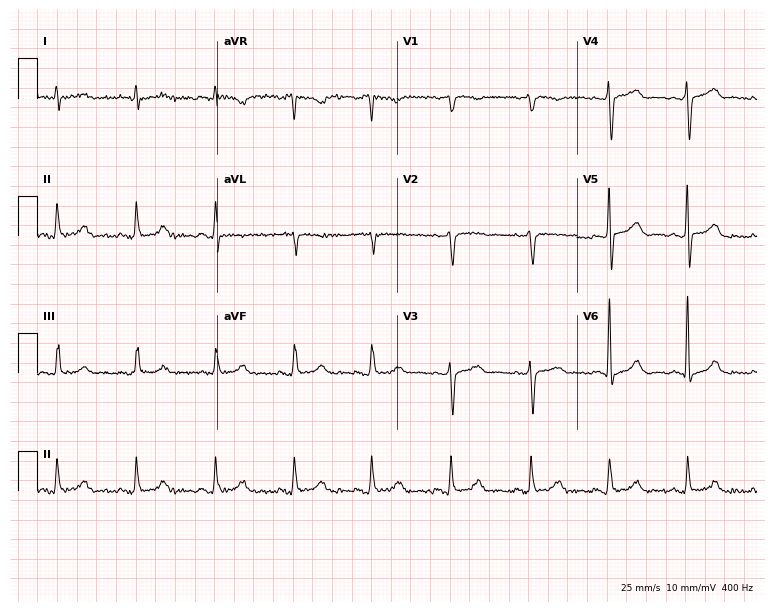
12-lead ECG from a woman, 64 years old. No first-degree AV block, right bundle branch block (RBBB), left bundle branch block (LBBB), sinus bradycardia, atrial fibrillation (AF) or sinus tachycardia recorded for this tracing. Only these six findings were labelled.